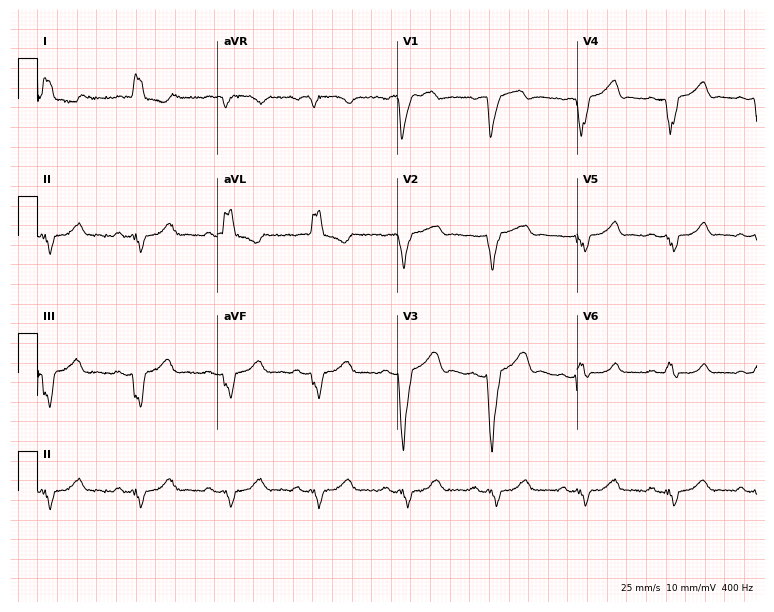
ECG — a female patient, 69 years old. Findings include left bundle branch block.